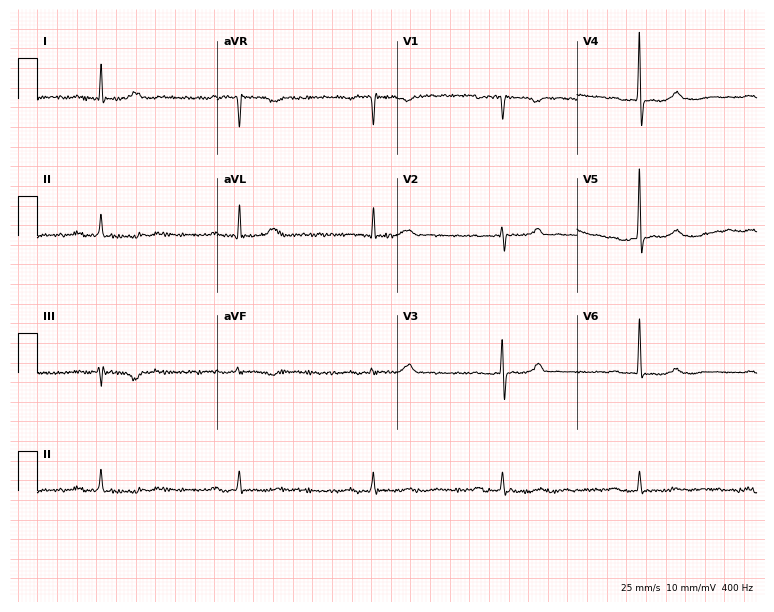
ECG — a 63-year-old woman. Findings include first-degree AV block, sinus bradycardia (a sinus rate of 50 beats per minute or less).